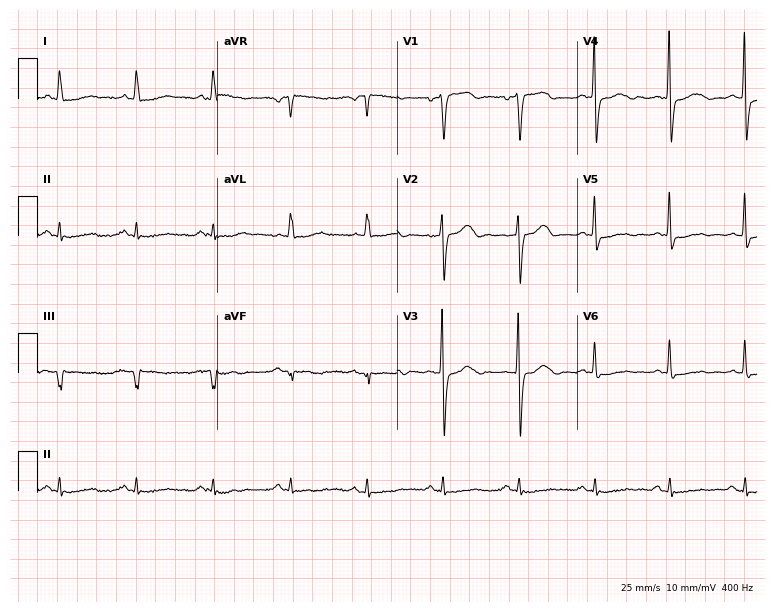
ECG (7.3-second recording at 400 Hz) — a 60-year-old woman. Screened for six findings — first-degree AV block, right bundle branch block, left bundle branch block, sinus bradycardia, atrial fibrillation, sinus tachycardia — none is recorded. Other findings, if any, are not listed.